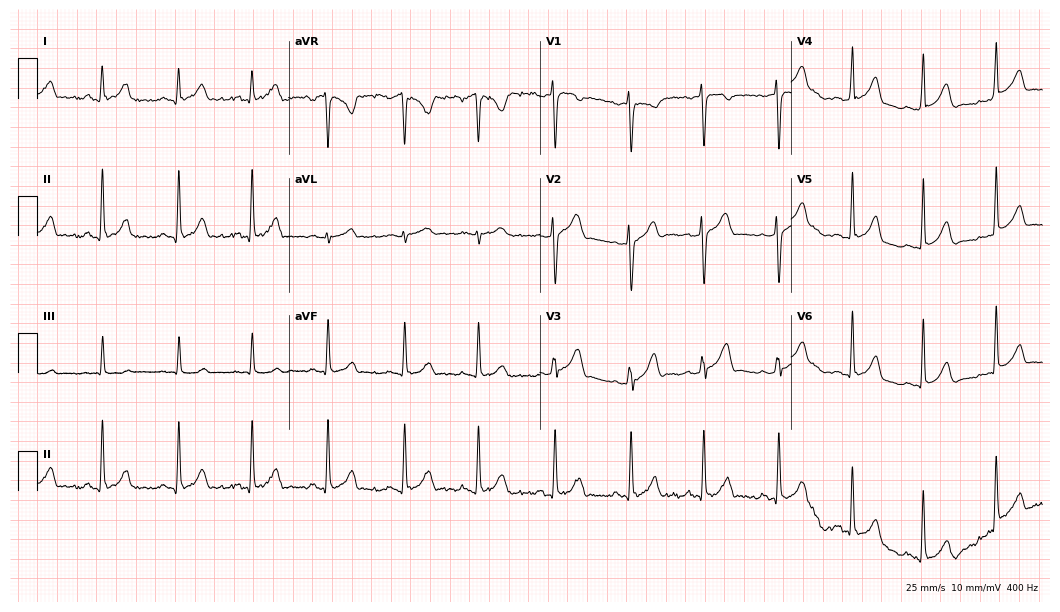
Standard 12-lead ECG recorded from a 20-year-old woman (10.2-second recording at 400 Hz). None of these six findings is recorded: first-degree AV block, right bundle branch block (RBBB), left bundle branch block (LBBB), sinus bradycardia, atrial fibrillation (AF), sinus tachycardia. Findings outside these six are not listed.